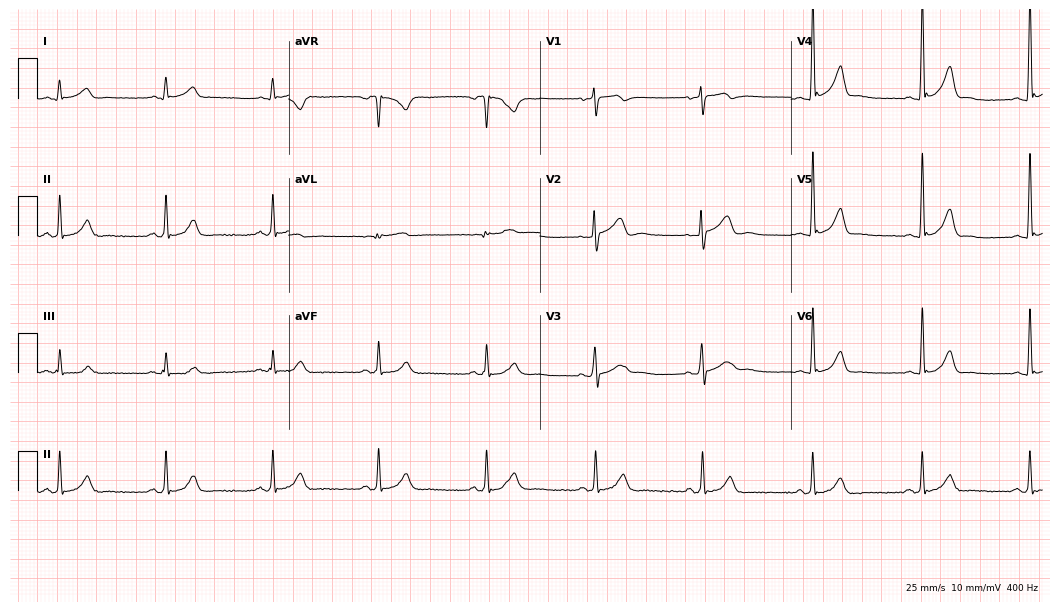
12-lead ECG from a 38-year-old male patient. Recorded interpretation: within normal limits.